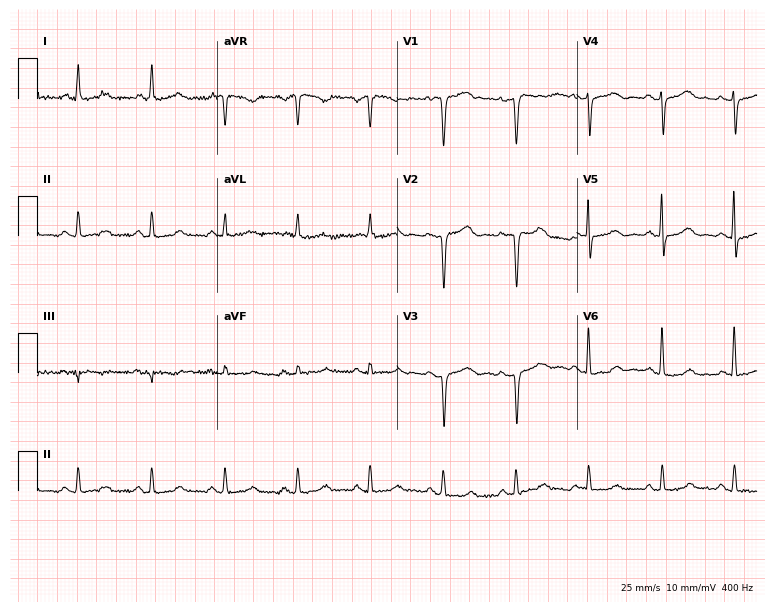
Standard 12-lead ECG recorded from a 64-year-old female patient. None of these six findings is recorded: first-degree AV block, right bundle branch block, left bundle branch block, sinus bradycardia, atrial fibrillation, sinus tachycardia.